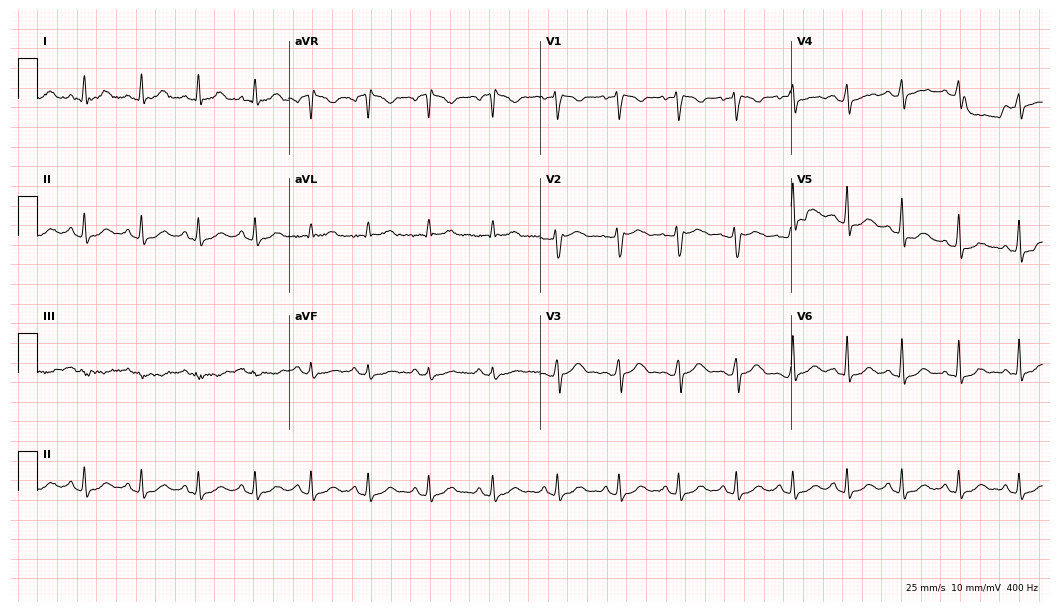
ECG — a 32-year-old female. Findings include sinus tachycardia (a sinus rate of 100 beats per minute or more).